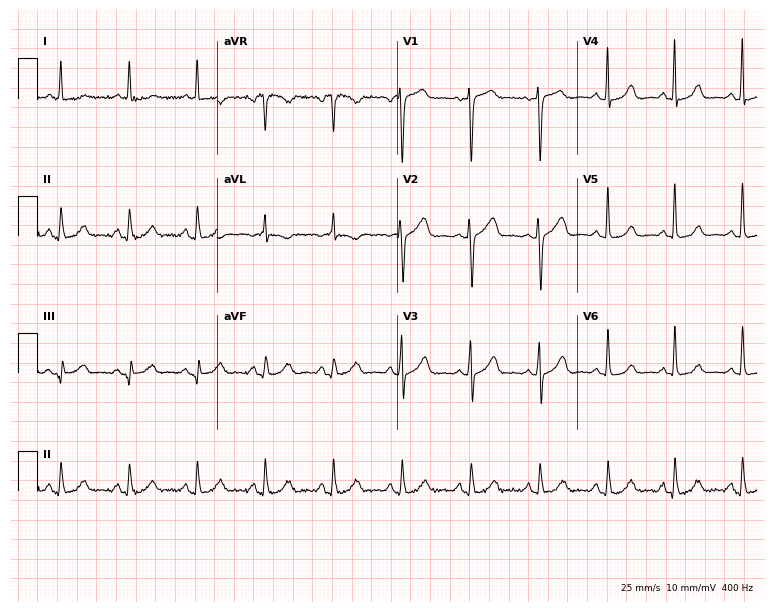
12-lead ECG (7.3-second recording at 400 Hz) from a woman, 71 years old. Labelled as a normal ECG.